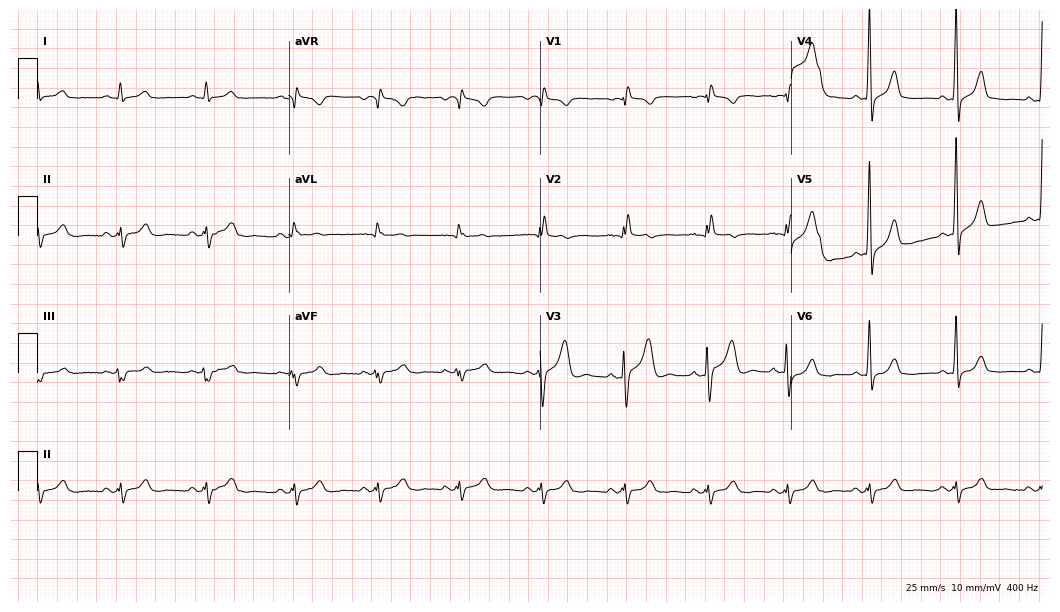
ECG — a 31-year-old male. Screened for six findings — first-degree AV block, right bundle branch block (RBBB), left bundle branch block (LBBB), sinus bradycardia, atrial fibrillation (AF), sinus tachycardia — none is recorded.